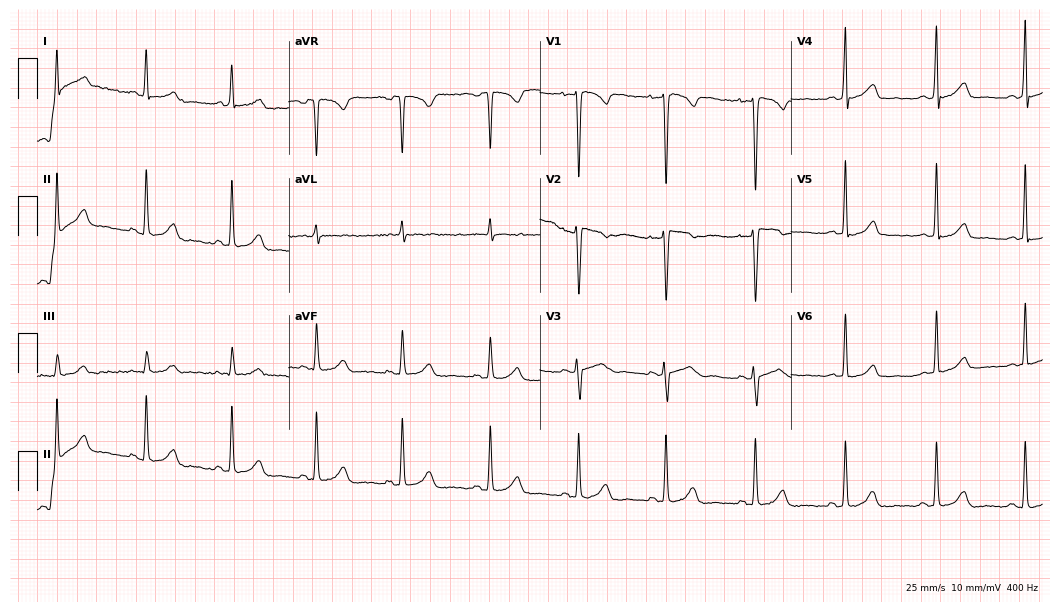
12-lead ECG from a 30-year-old woman. Recorded interpretation: within normal limits.